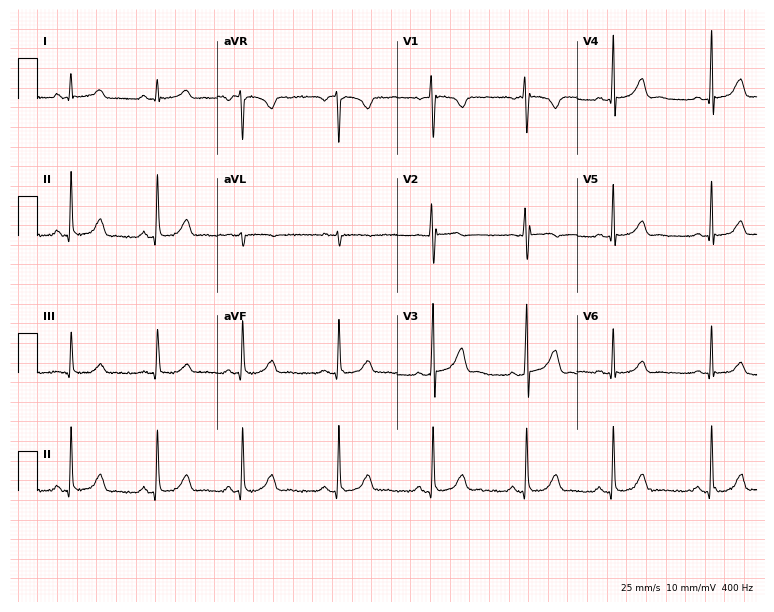
ECG (7.3-second recording at 400 Hz) — a woman, 18 years old. Labelled as a normal ECG.